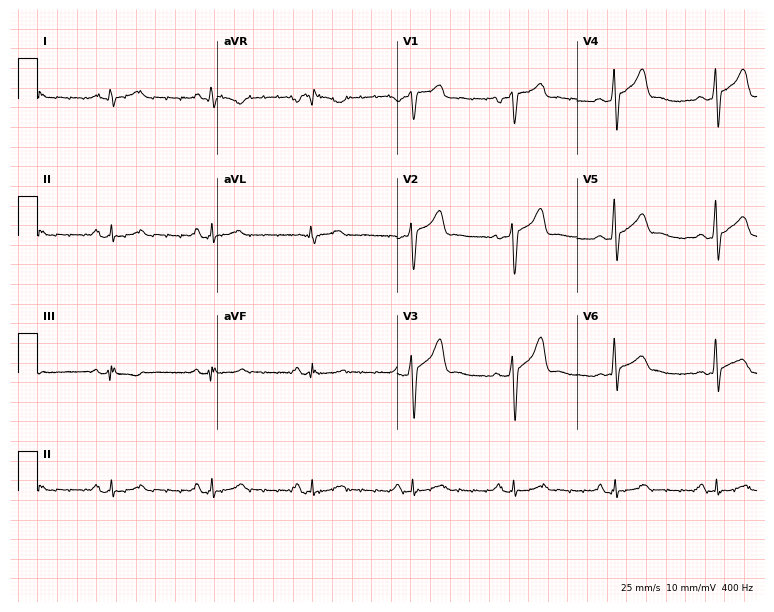
Resting 12-lead electrocardiogram (7.3-second recording at 400 Hz). Patient: a 54-year-old male. Read as a normal ECG.